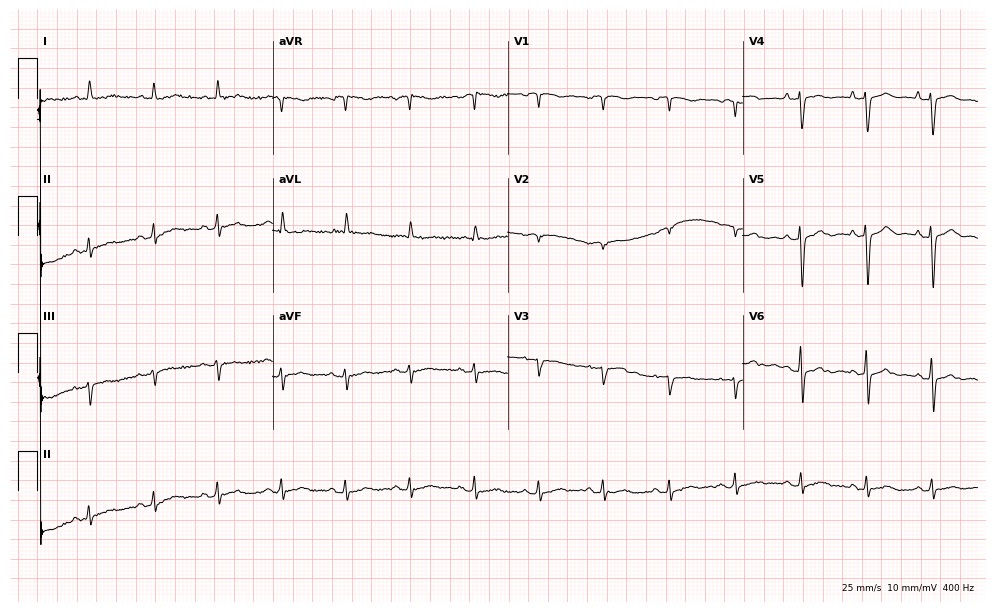
12-lead ECG from a 78-year-old female (9.6-second recording at 400 Hz). No first-degree AV block, right bundle branch block, left bundle branch block, sinus bradycardia, atrial fibrillation or sinus tachycardia recorded for this tracing.